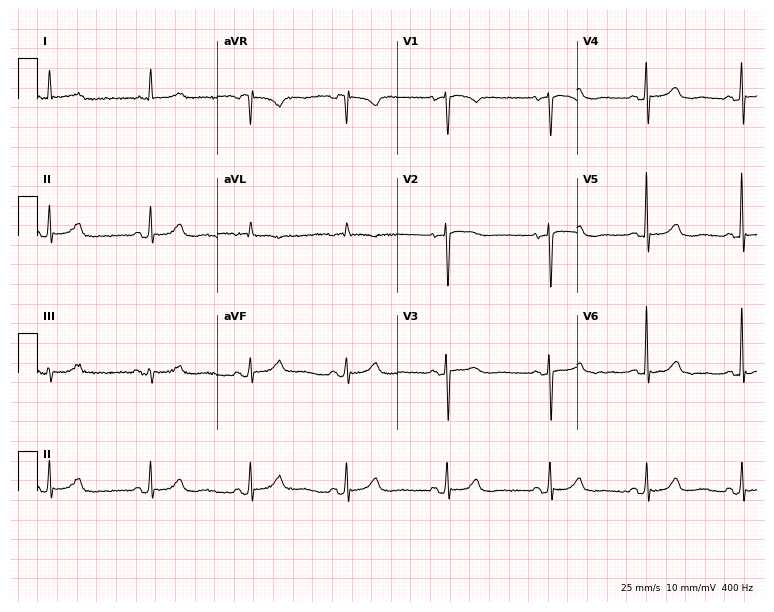
Standard 12-lead ECG recorded from a female, 81 years old. None of these six findings is recorded: first-degree AV block, right bundle branch block, left bundle branch block, sinus bradycardia, atrial fibrillation, sinus tachycardia.